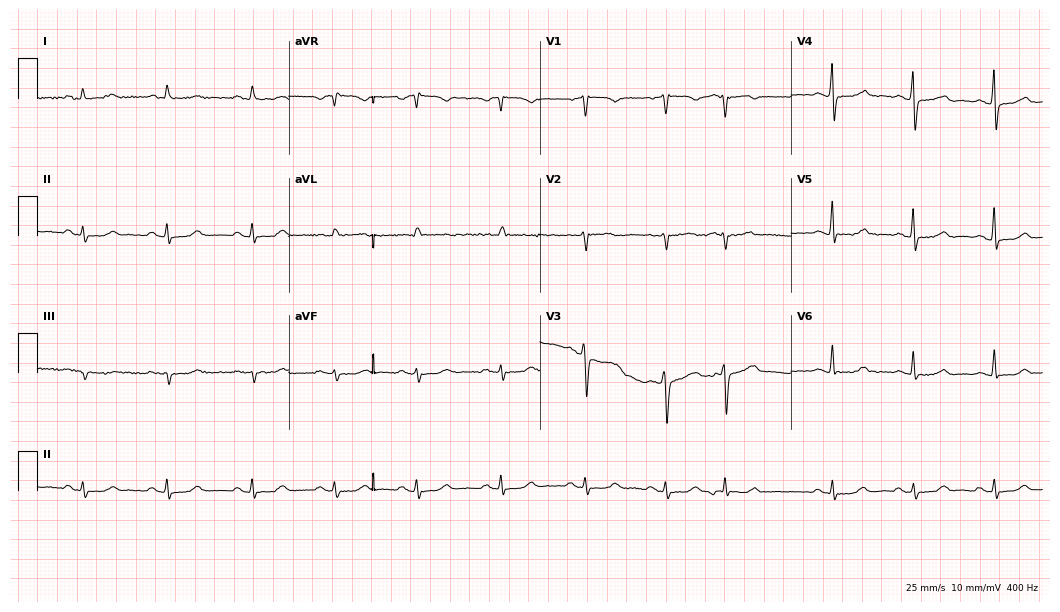
Electrocardiogram, a female, 58 years old. Of the six screened findings (first-degree AV block, right bundle branch block, left bundle branch block, sinus bradycardia, atrial fibrillation, sinus tachycardia), none is recorded.